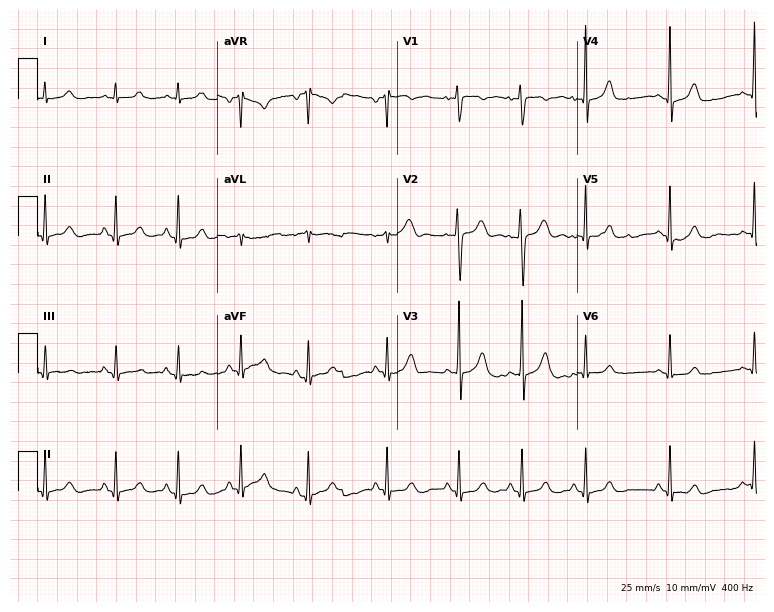
ECG (7.3-second recording at 400 Hz) — a female, 17 years old. Labelled as a normal ECG.